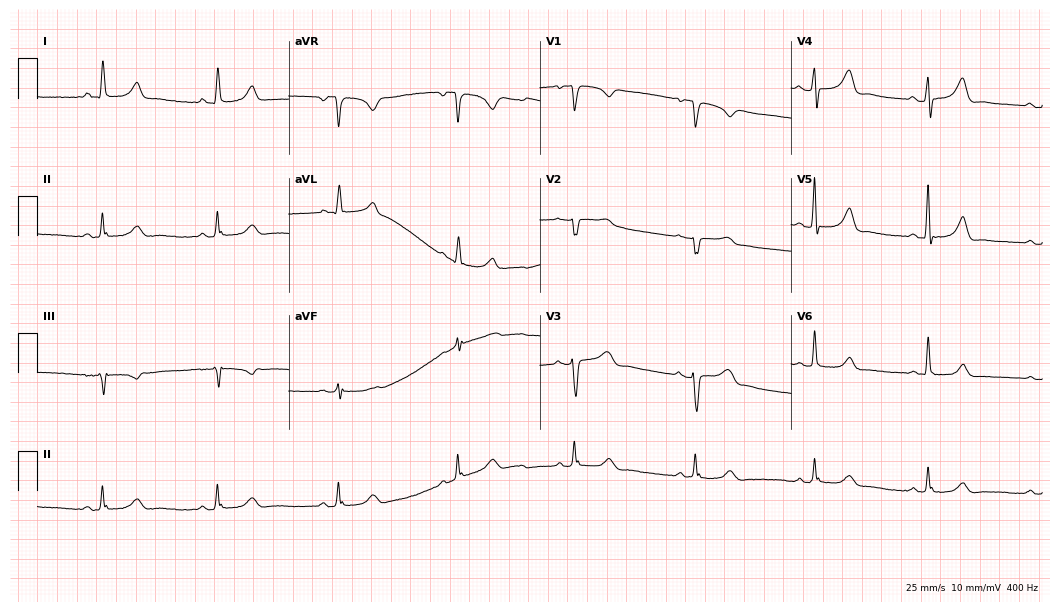
Electrocardiogram (10.2-second recording at 400 Hz), a 65-year-old woman. Interpretation includes sinus bradycardia (a sinus rate of 50 beats per minute or less).